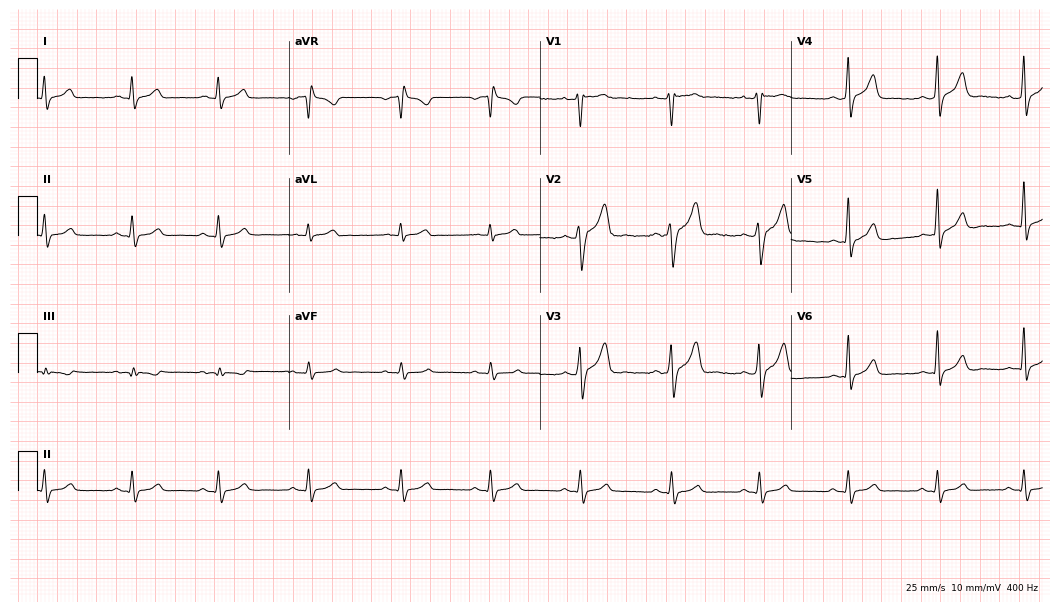
ECG (10.2-second recording at 400 Hz) — a 31-year-old male patient. Screened for six findings — first-degree AV block, right bundle branch block (RBBB), left bundle branch block (LBBB), sinus bradycardia, atrial fibrillation (AF), sinus tachycardia — none is recorded.